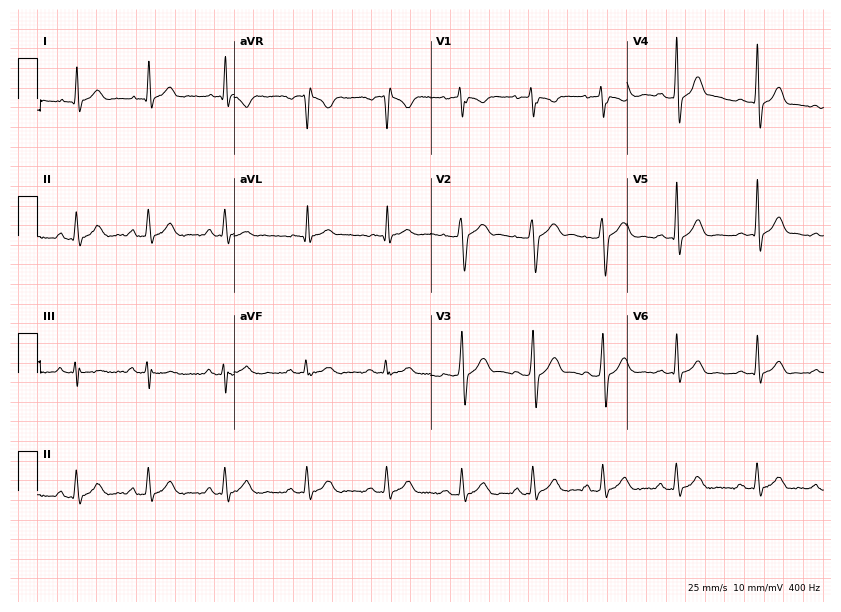
Resting 12-lead electrocardiogram. Patient: a 39-year-old man. Read as a normal ECG.